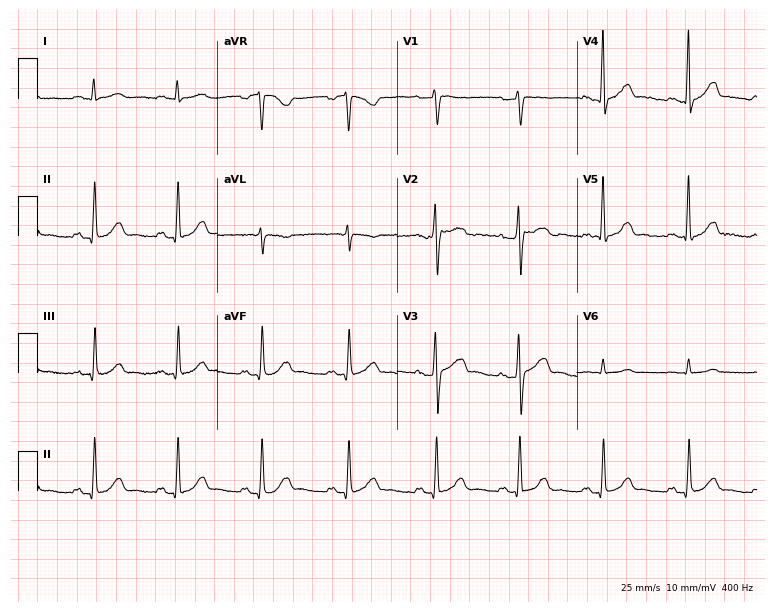
12-lead ECG from a 57-year-old man. Labelled as a normal ECG.